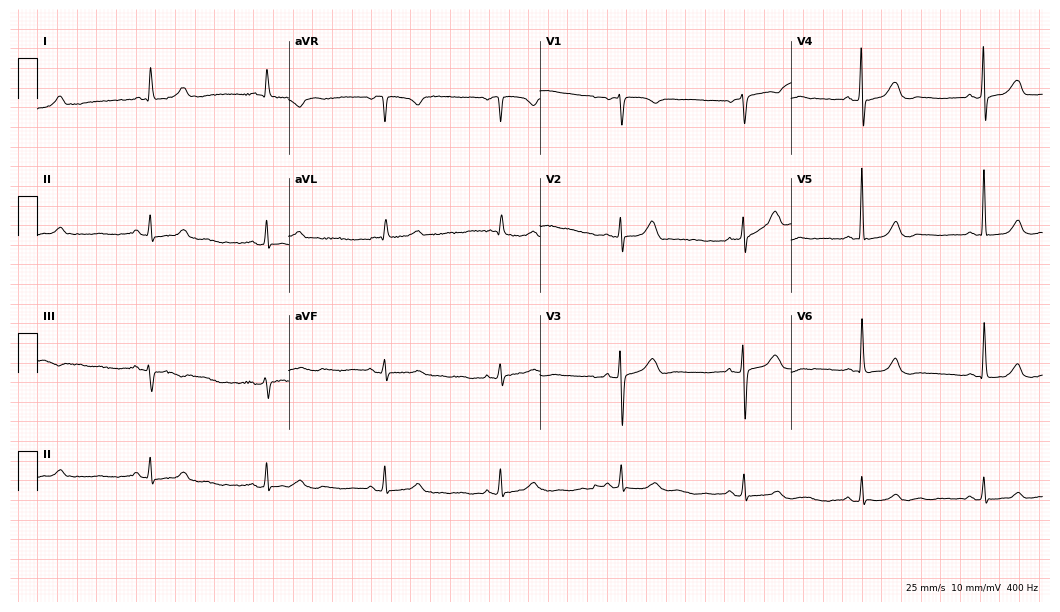
12-lead ECG from a female, 76 years old. No first-degree AV block, right bundle branch block, left bundle branch block, sinus bradycardia, atrial fibrillation or sinus tachycardia recorded for this tracing. Findings outside these six are not listed.